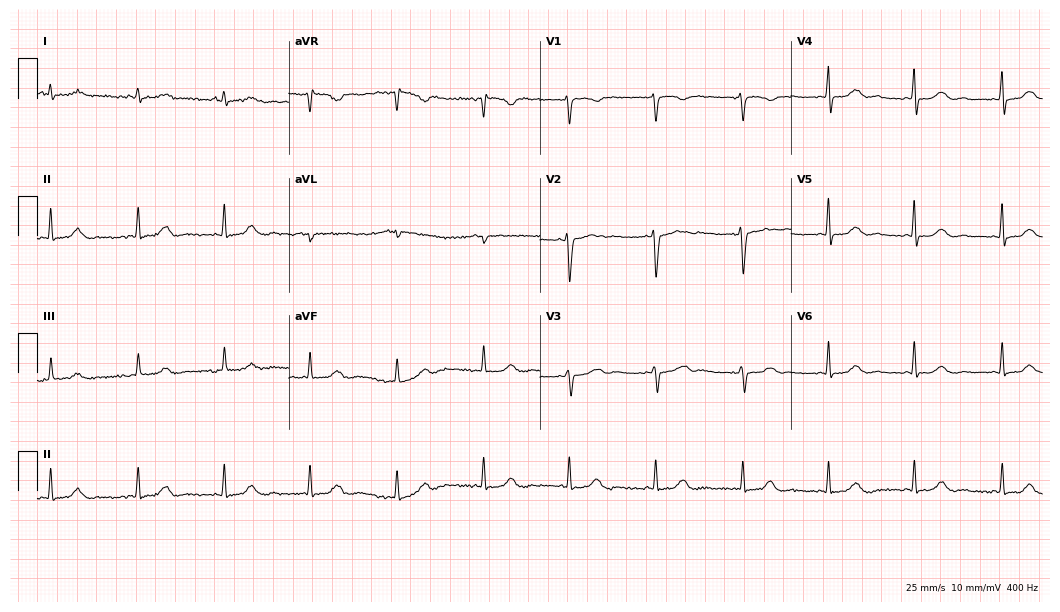
ECG (10.2-second recording at 400 Hz) — a female patient, 47 years old. Screened for six findings — first-degree AV block, right bundle branch block, left bundle branch block, sinus bradycardia, atrial fibrillation, sinus tachycardia — none is recorded. Only these six findings were labelled.